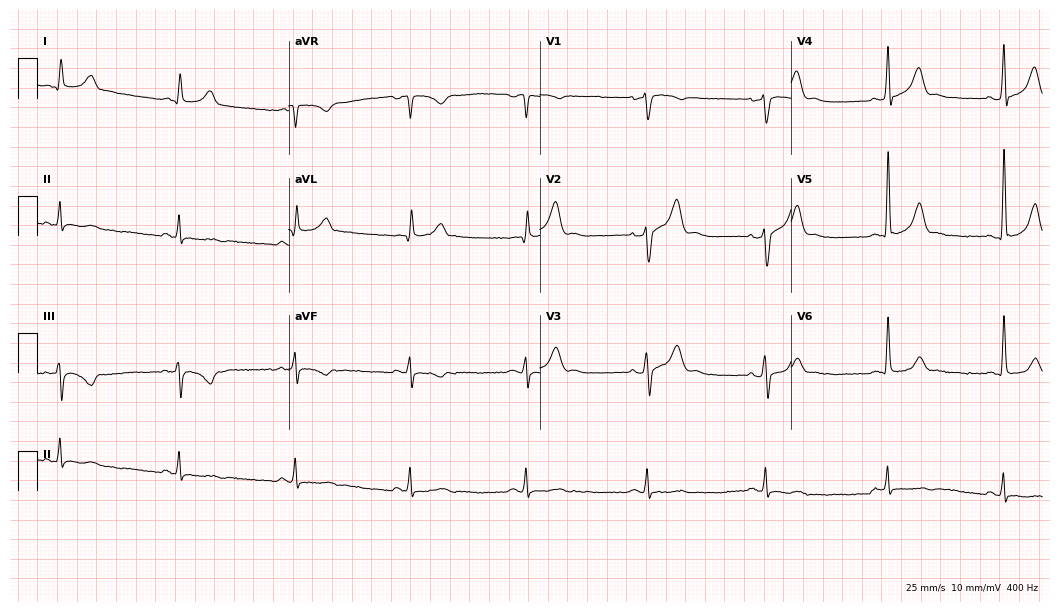
ECG (10.2-second recording at 400 Hz) — a male, 54 years old. Screened for six findings — first-degree AV block, right bundle branch block (RBBB), left bundle branch block (LBBB), sinus bradycardia, atrial fibrillation (AF), sinus tachycardia — none is recorded.